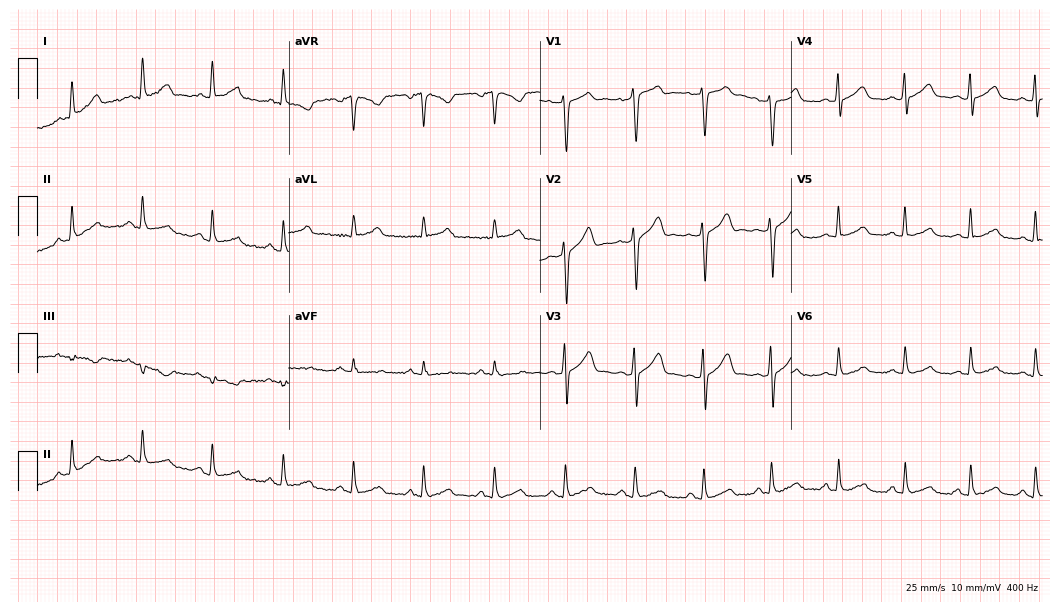
ECG — a male patient, 37 years old. Labelled as a normal ECG.